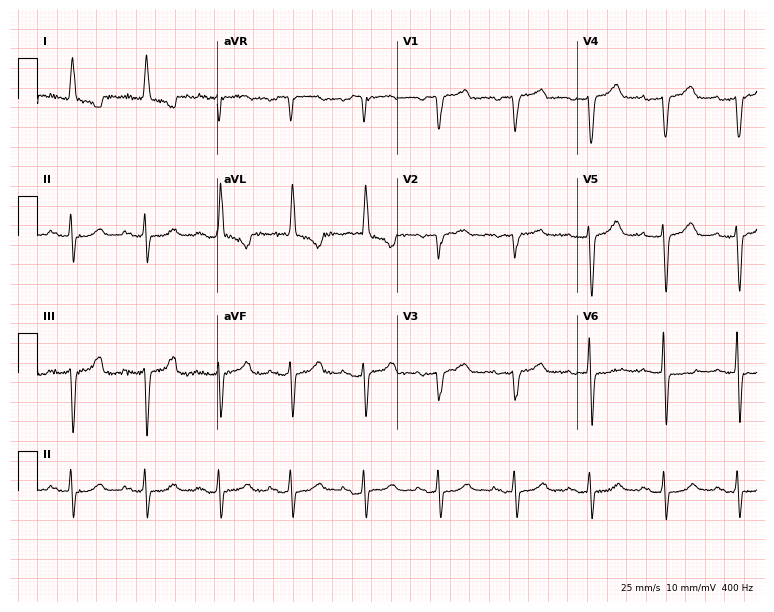
12-lead ECG (7.3-second recording at 400 Hz) from a 47-year-old female patient. Screened for six findings — first-degree AV block, right bundle branch block, left bundle branch block, sinus bradycardia, atrial fibrillation, sinus tachycardia — none is recorded. Only these six findings were labelled.